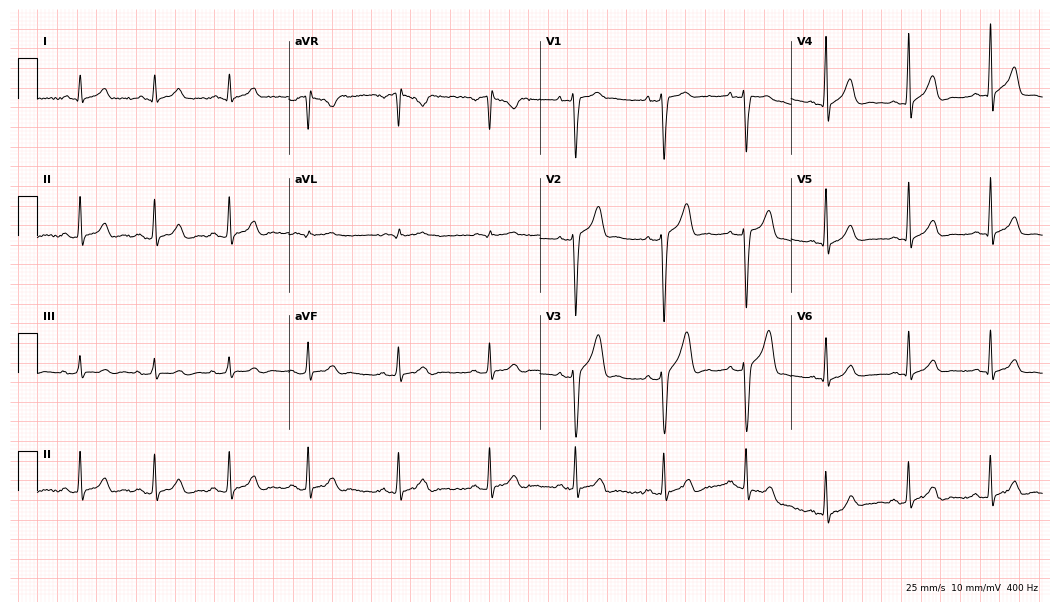
Standard 12-lead ECG recorded from a 32-year-old man (10.2-second recording at 400 Hz). Read as a normal ECG.